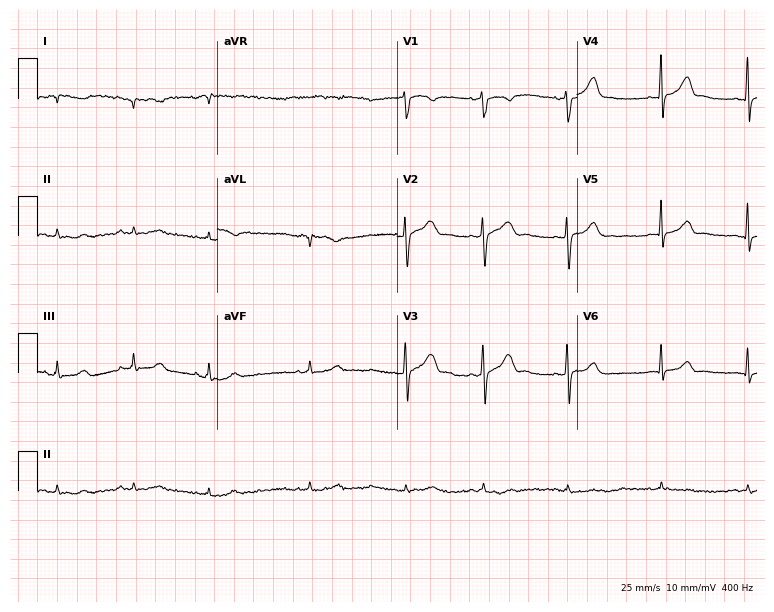
ECG (7.3-second recording at 400 Hz) — a 29-year-old woman. Screened for six findings — first-degree AV block, right bundle branch block (RBBB), left bundle branch block (LBBB), sinus bradycardia, atrial fibrillation (AF), sinus tachycardia — none is recorded.